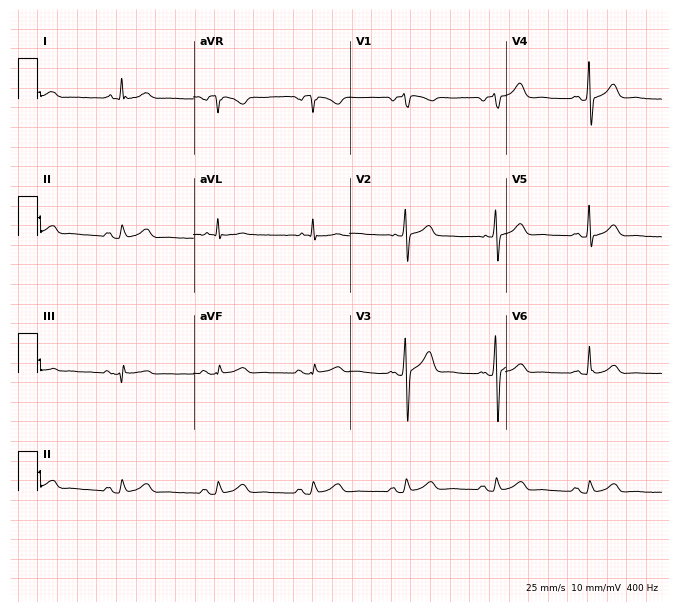
Resting 12-lead electrocardiogram (6.4-second recording at 400 Hz). Patient: a 50-year-old male. None of these six findings is recorded: first-degree AV block, right bundle branch block, left bundle branch block, sinus bradycardia, atrial fibrillation, sinus tachycardia.